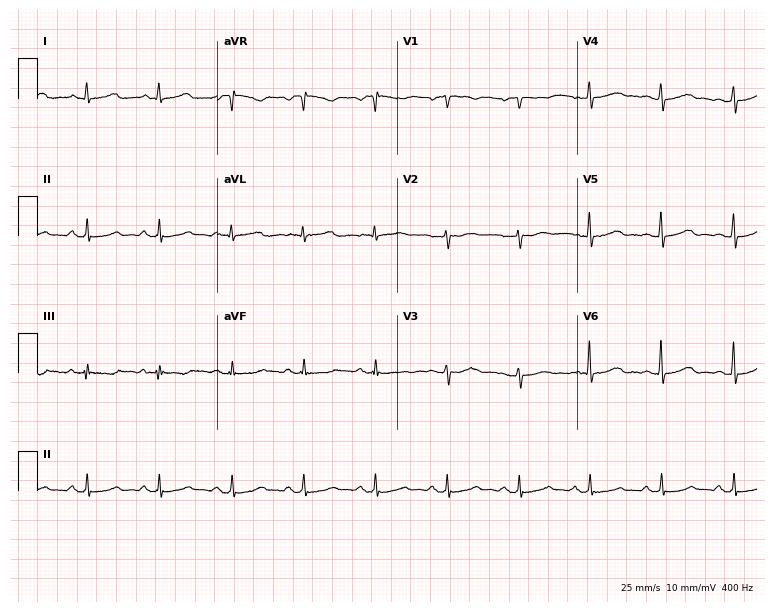
12-lead ECG from a 68-year-old woman. Labelled as a normal ECG.